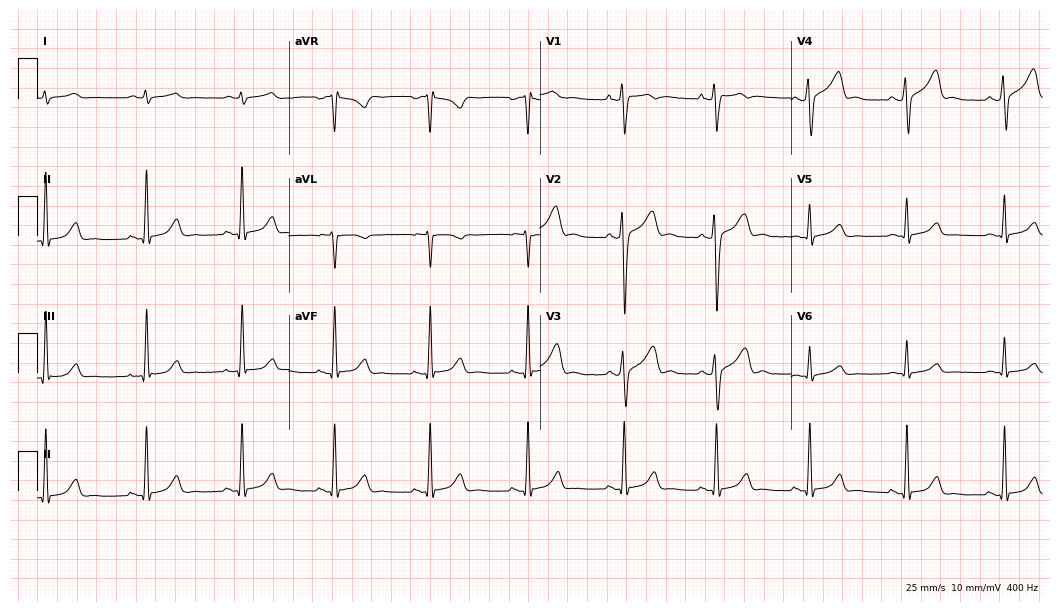
12-lead ECG (10.2-second recording at 400 Hz) from a male patient, 26 years old. Labelled as a normal ECG.